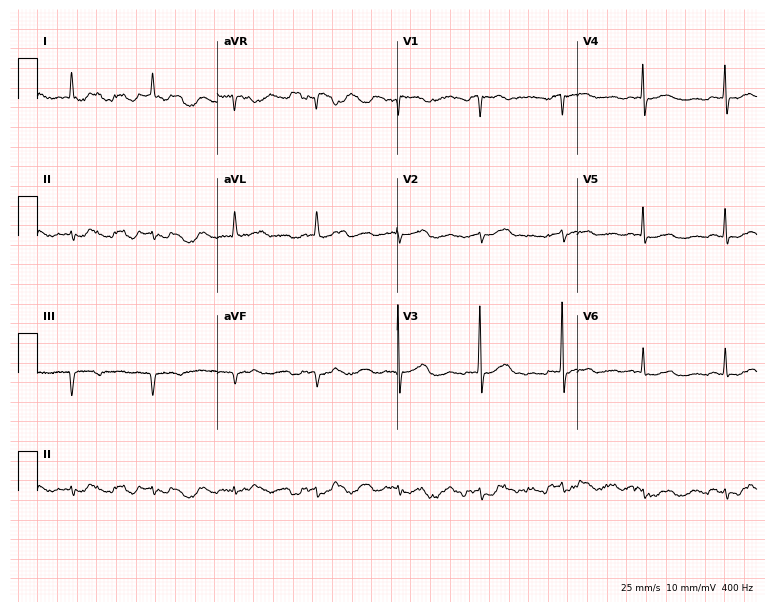
Resting 12-lead electrocardiogram. Patient: an 82-year-old woman. None of these six findings is recorded: first-degree AV block, right bundle branch block, left bundle branch block, sinus bradycardia, atrial fibrillation, sinus tachycardia. Findings outside these six are not listed.